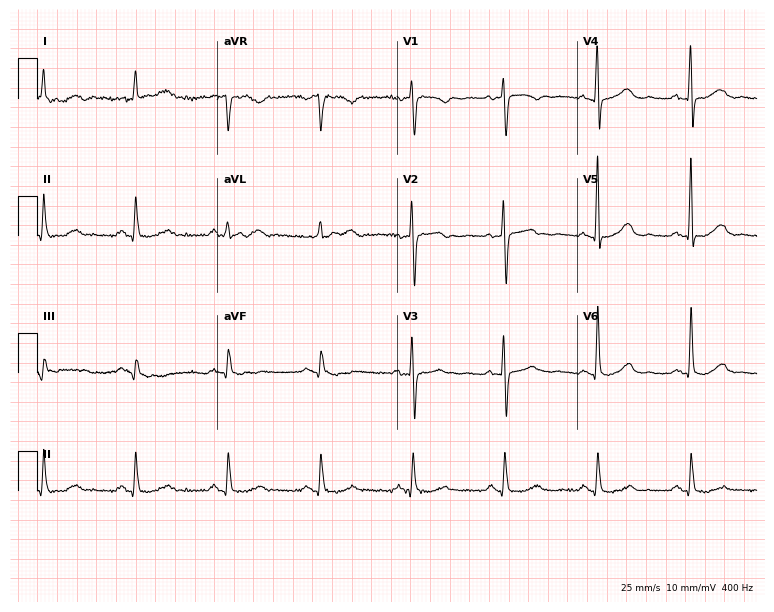
Resting 12-lead electrocardiogram. Patient: an 81-year-old woman. None of these six findings is recorded: first-degree AV block, right bundle branch block, left bundle branch block, sinus bradycardia, atrial fibrillation, sinus tachycardia.